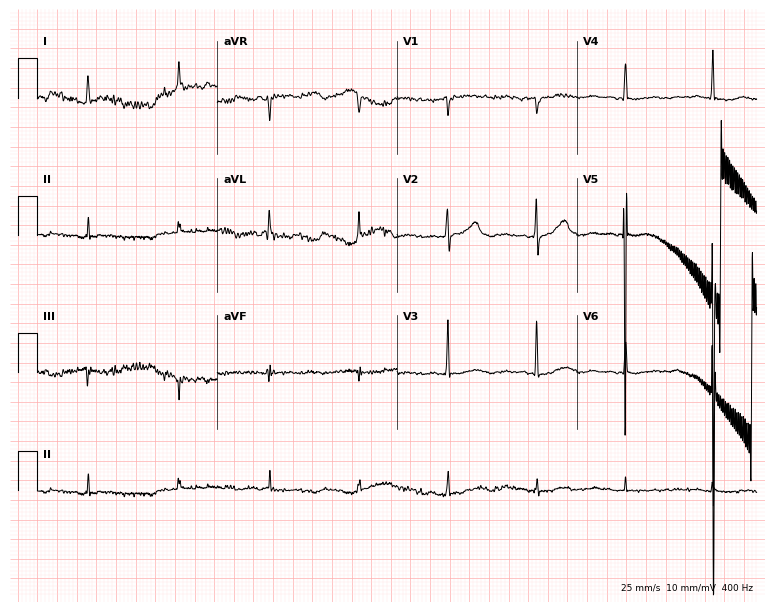
Resting 12-lead electrocardiogram. Patient: a female, 60 years old. None of these six findings is recorded: first-degree AV block, right bundle branch block, left bundle branch block, sinus bradycardia, atrial fibrillation, sinus tachycardia.